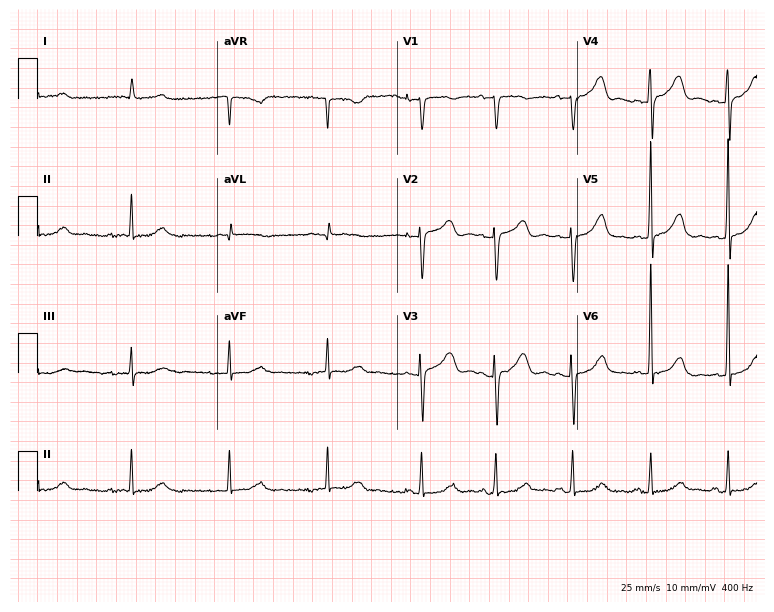
Electrocardiogram, a woman, 68 years old. Of the six screened findings (first-degree AV block, right bundle branch block (RBBB), left bundle branch block (LBBB), sinus bradycardia, atrial fibrillation (AF), sinus tachycardia), none is recorded. Other findings, if any, are not listed.